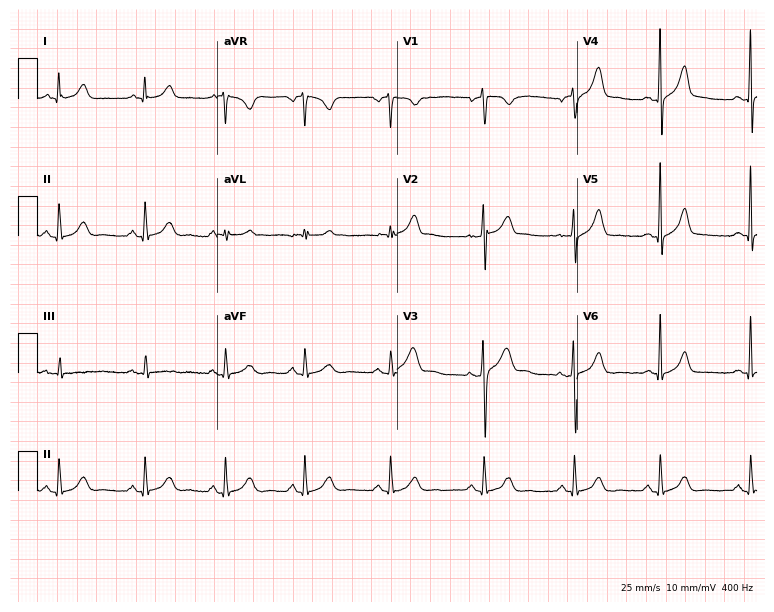
Electrocardiogram (7.3-second recording at 400 Hz), a 47-year-old male patient. Of the six screened findings (first-degree AV block, right bundle branch block, left bundle branch block, sinus bradycardia, atrial fibrillation, sinus tachycardia), none is recorded. Only these six findings were labelled.